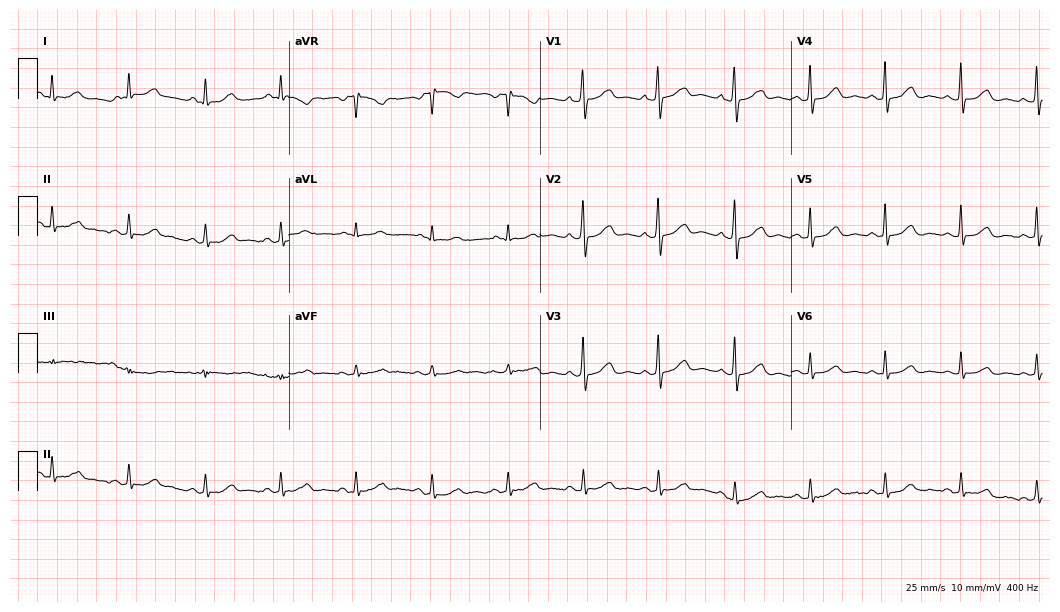
Resting 12-lead electrocardiogram. Patient: a 67-year-old woman. Read as a normal ECG.